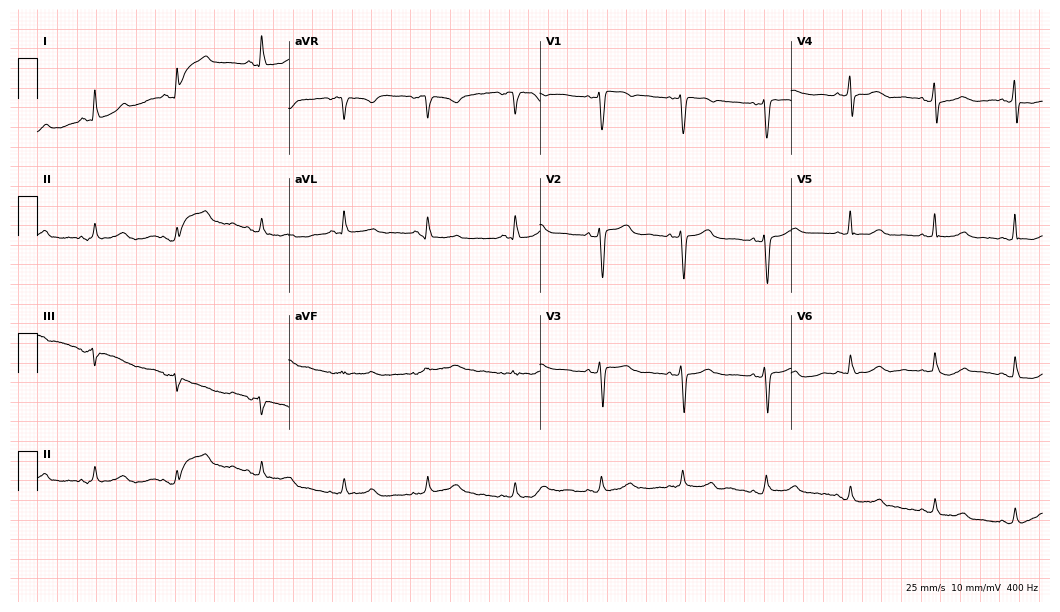
12-lead ECG from a woman, 47 years old. Screened for six findings — first-degree AV block, right bundle branch block (RBBB), left bundle branch block (LBBB), sinus bradycardia, atrial fibrillation (AF), sinus tachycardia — none is recorded.